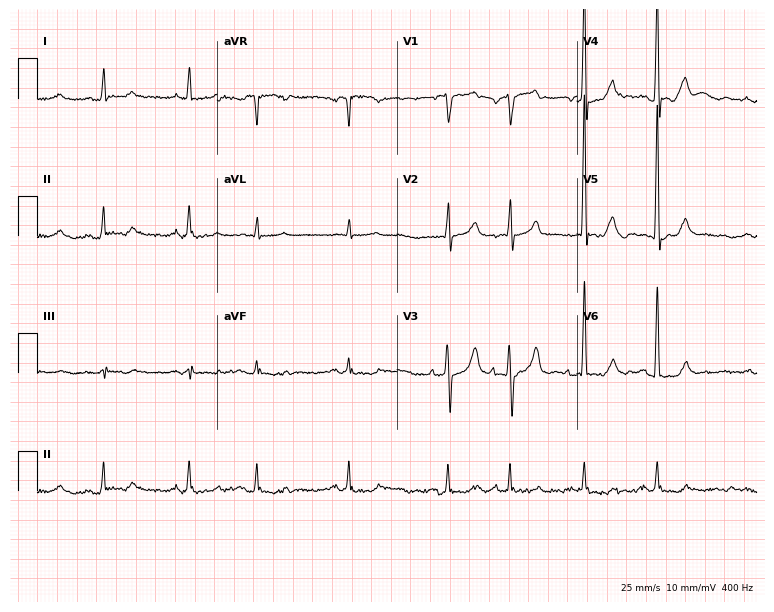
12-lead ECG (7.3-second recording at 400 Hz) from a 74-year-old male patient. Labelled as a normal ECG.